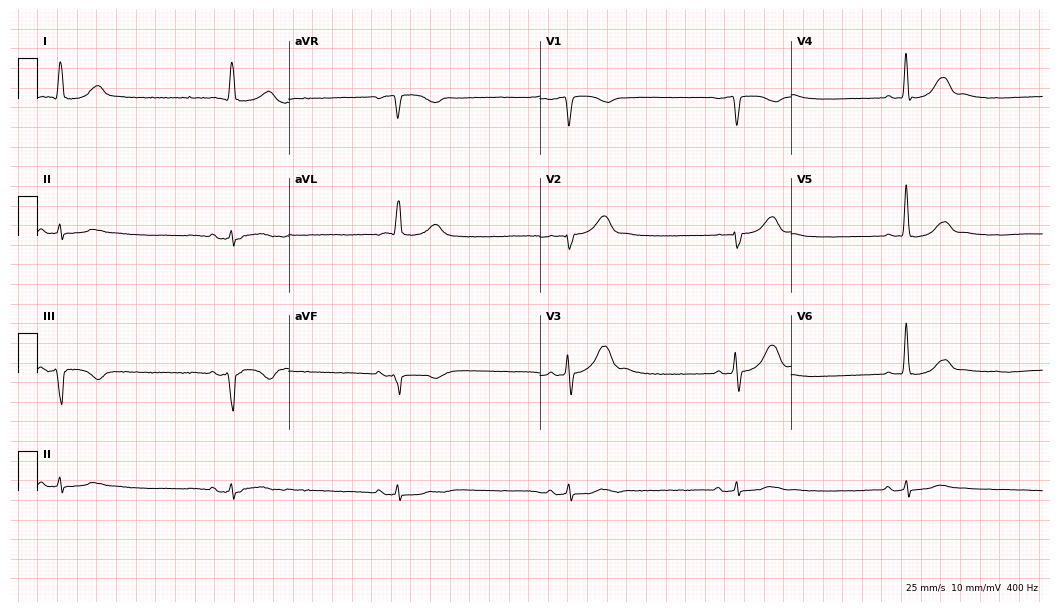
12-lead ECG from a man, 81 years old (10.2-second recording at 400 Hz). Shows sinus bradycardia (a sinus rate of 50 beats per minute or less).